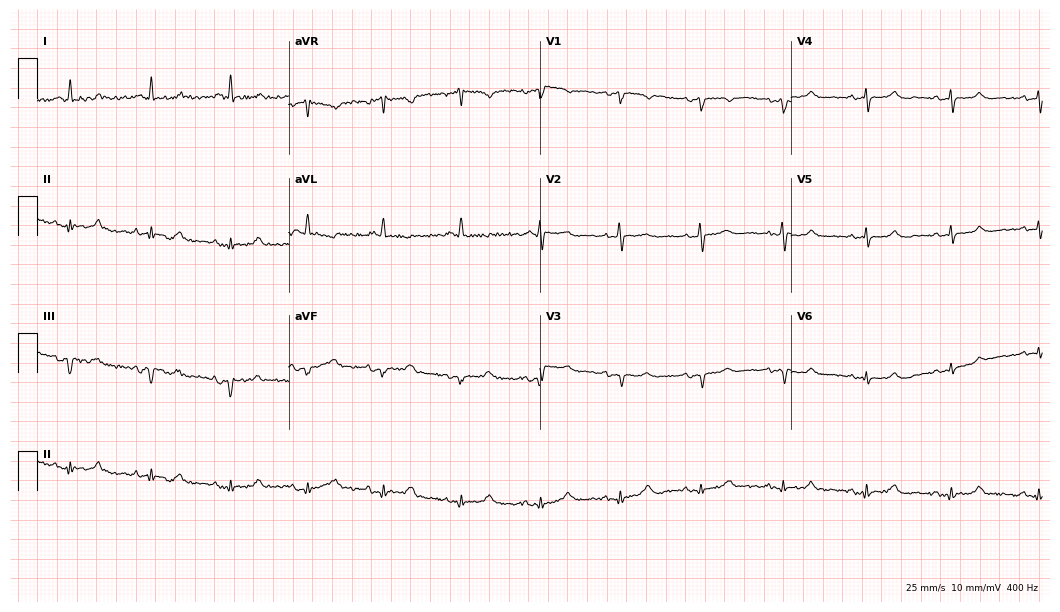
12-lead ECG from a woman, 72 years old (10.2-second recording at 400 Hz). No first-degree AV block, right bundle branch block (RBBB), left bundle branch block (LBBB), sinus bradycardia, atrial fibrillation (AF) or sinus tachycardia recorded for this tracing. Only these six findings were labelled.